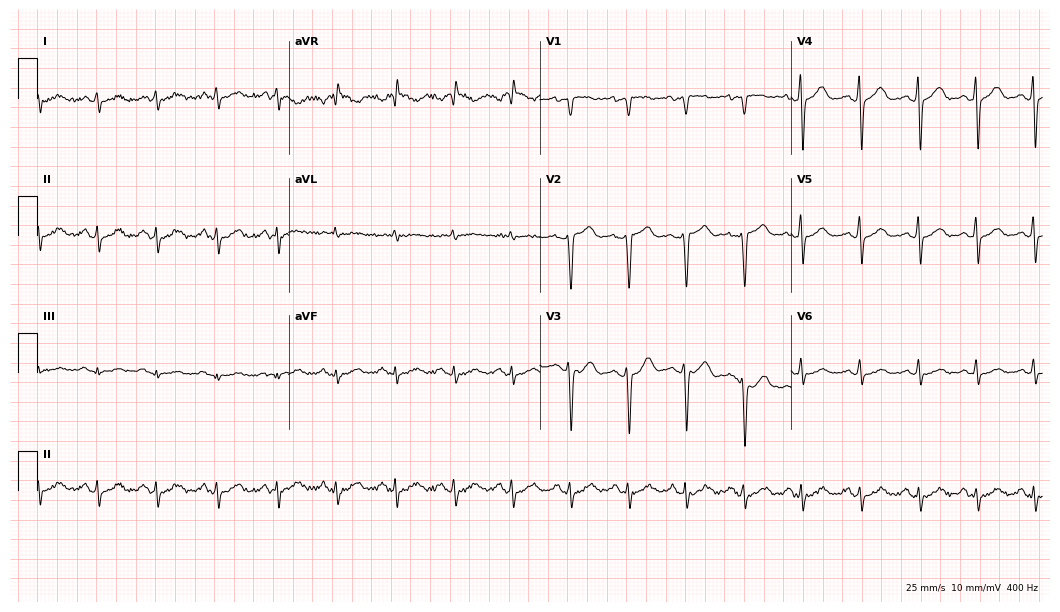
12-lead ECG from a female patient, 55 years old. Screened for six findings — first-degree AV block, right bundle branch block (RBBB), left bundle branch block (LBBB), sinus bradycardia, atrial fibrillation (AF), sinus tachycardia — none is recorded. Other findings, if any, are not listed.